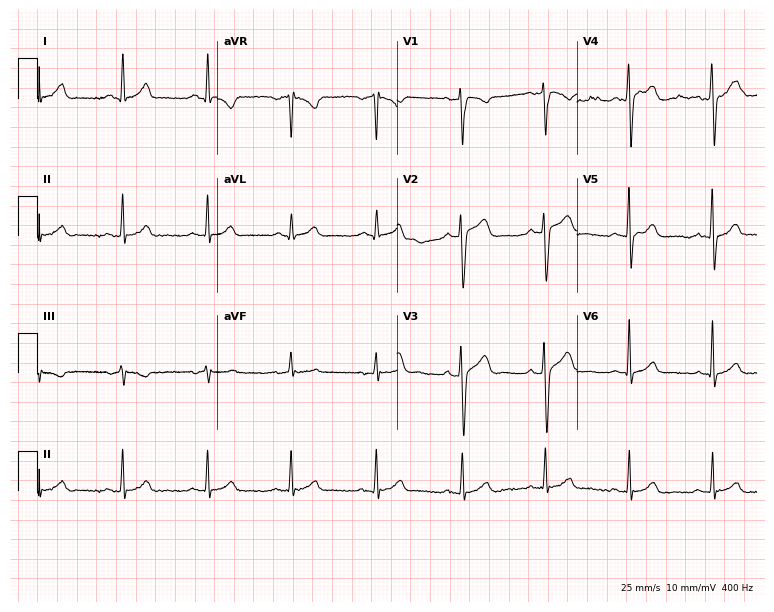
Resting 12-lead electrocardiogram. Patient: a male, 40 years old. Read as a normal ECG.